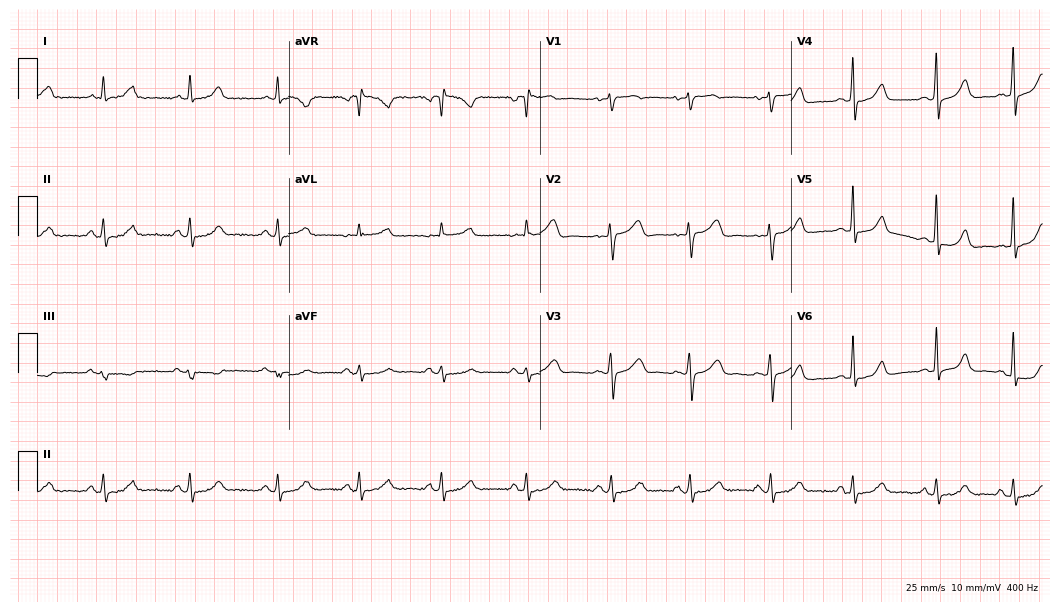
12-lead ECG from a 44-year-old woman. Labelled as a normal ECG.